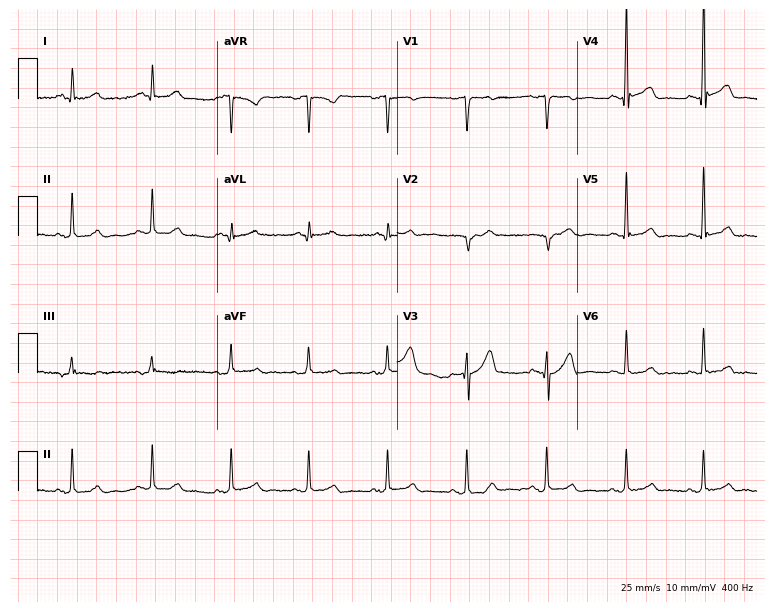
Standard 12-lead ECG recorded from a male patient, 76 years old. None of these six findings is recorded: first-degree AV block, right bundle branch block, left bundle branch block, sinus bradycardia, atrial fibrillation, sinus tachycardia. Only these six findings were labelled.